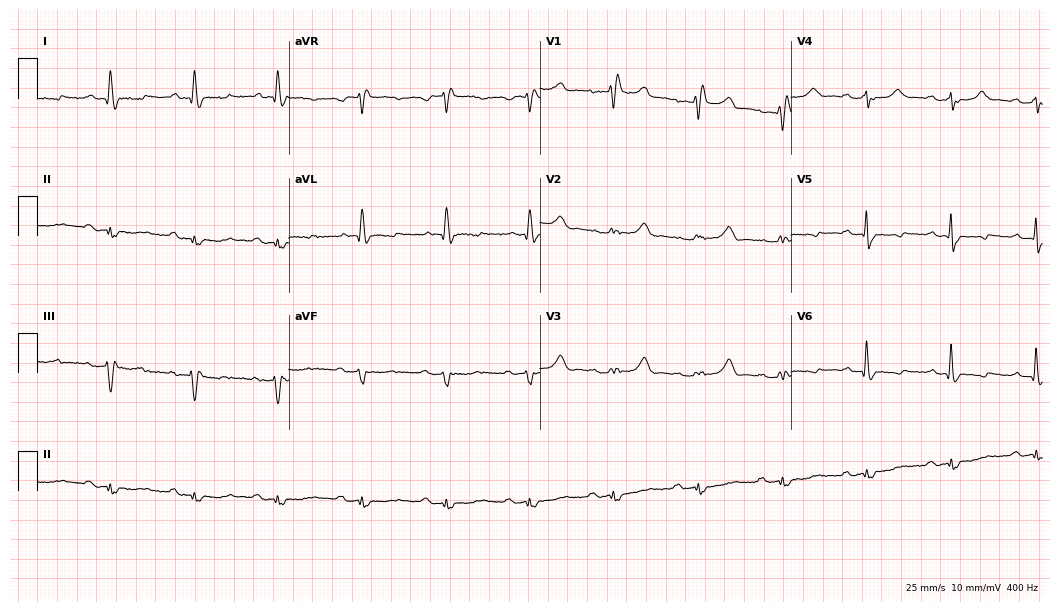
Resting 12-lead electrocardiogram (10.2-second recording at 400 Hz). Patient: a female, 62 years old. The tracing shows right bundle branch block.